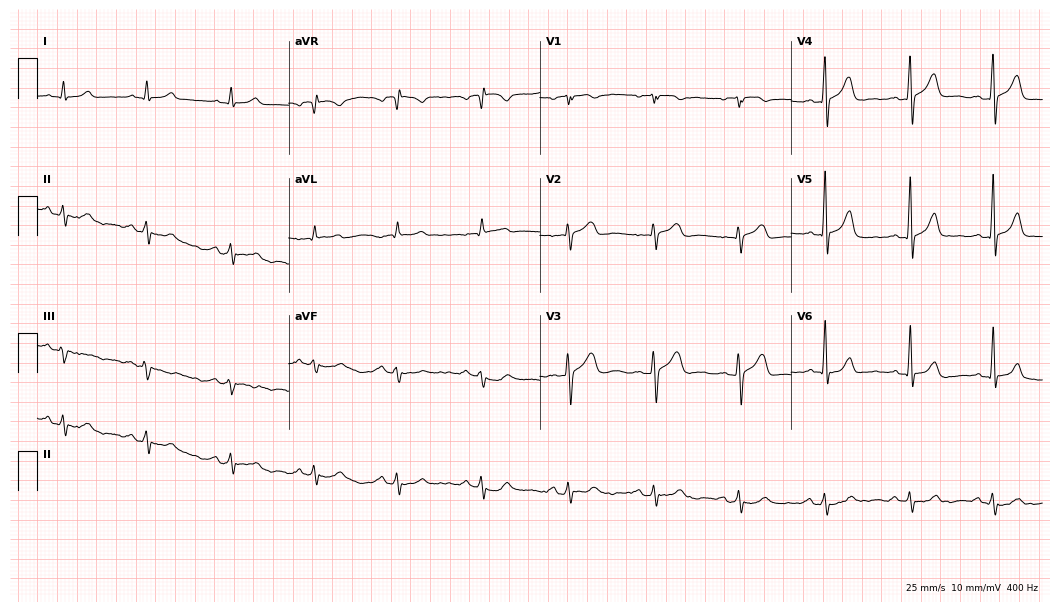
12-lead ECG from a man, 62 years old. Recorded interpretation: within normal limits.